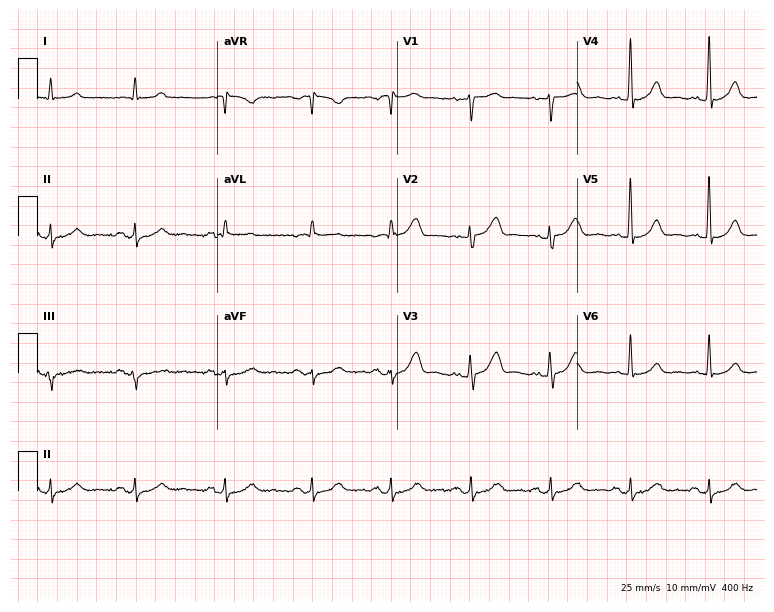
12-lead ECG (7.3-second recording at 400 Hz) from a 61-year-old male. Labelled as a normal ECG.